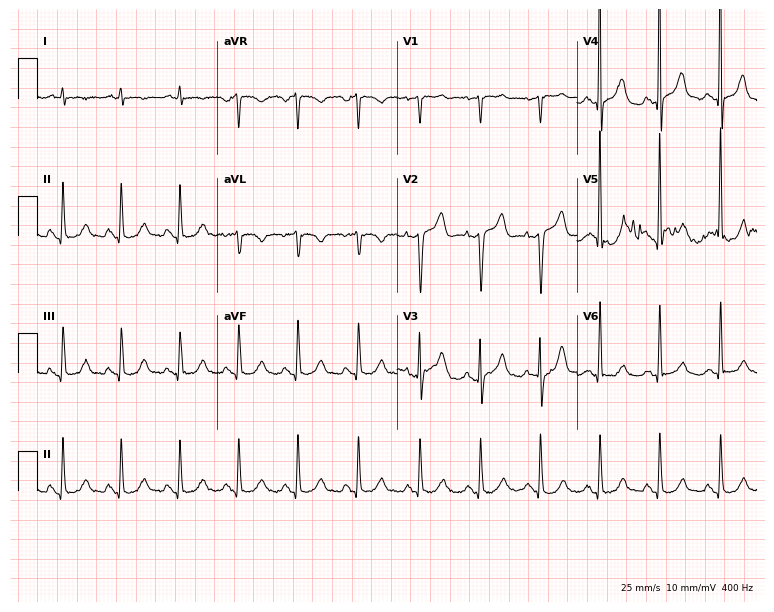
Standard 12-lead ECG recorded from a male, 68 years old. None of these six findings is recorded: first-degree AV block, right bundle branch block, left bundle branch block, sinus bradycardia, atrial fibrillation, sinus tachycardia.